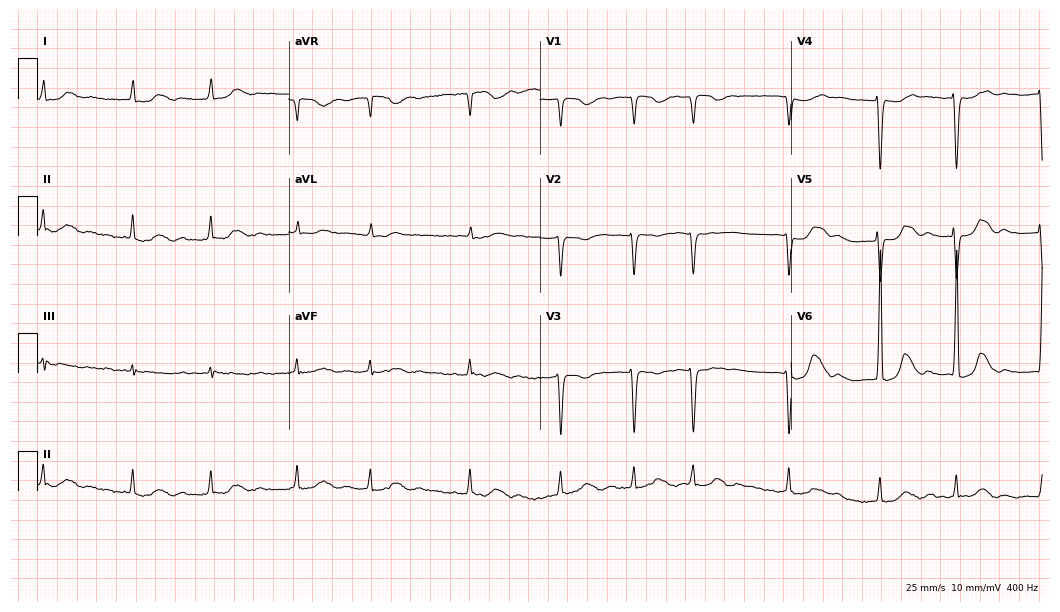
12-lead ECG from a female, 74 years old. Shows atrial fibrillation.